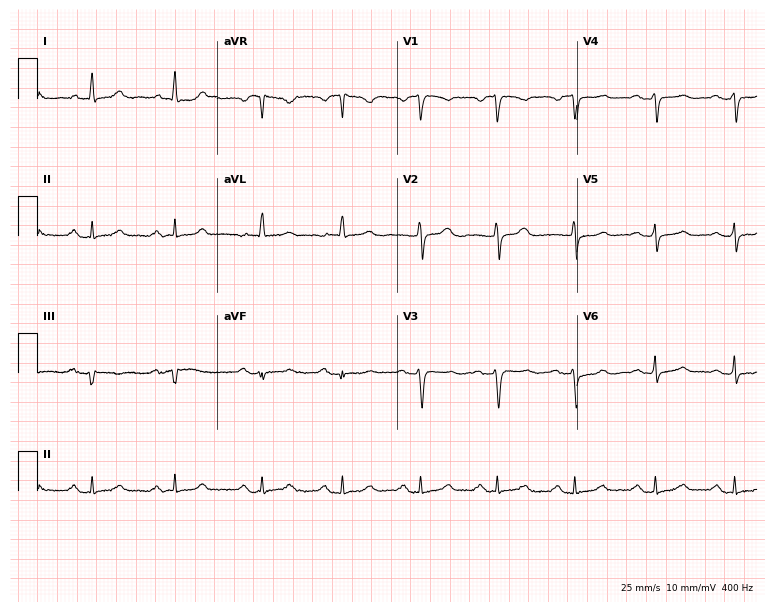
Standard 12-lead ECG recorded from a female patient, 51 years old (7.3-second recording at 400 Hz). The tracing shows first-degree AV block.